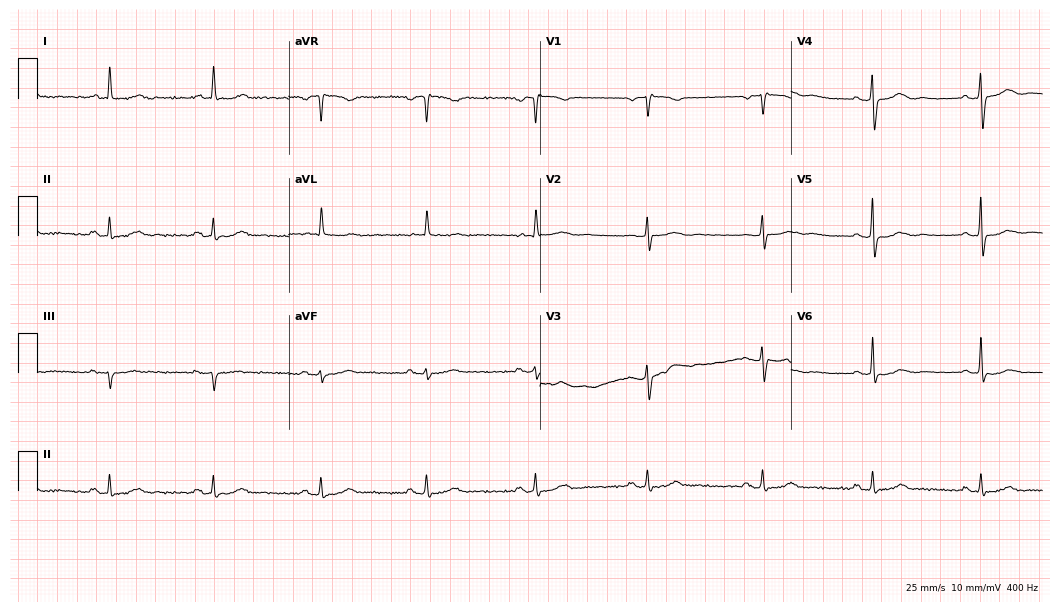
ECG (10.2-second recording at 400 Hz) — a 68-year-old woman. Labelled as a normal ECG.